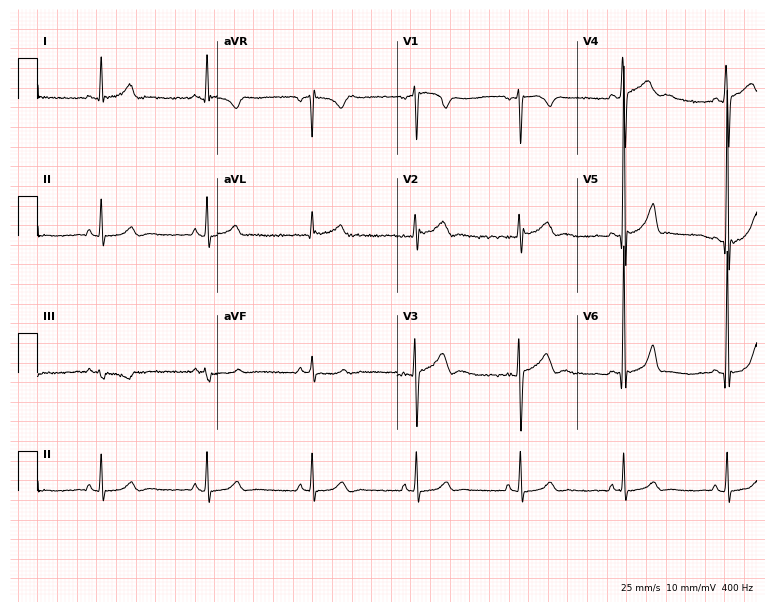
Resting 12-lead electrocardiogram. Patient: a man, 17 years old. Read as a normal ECG.